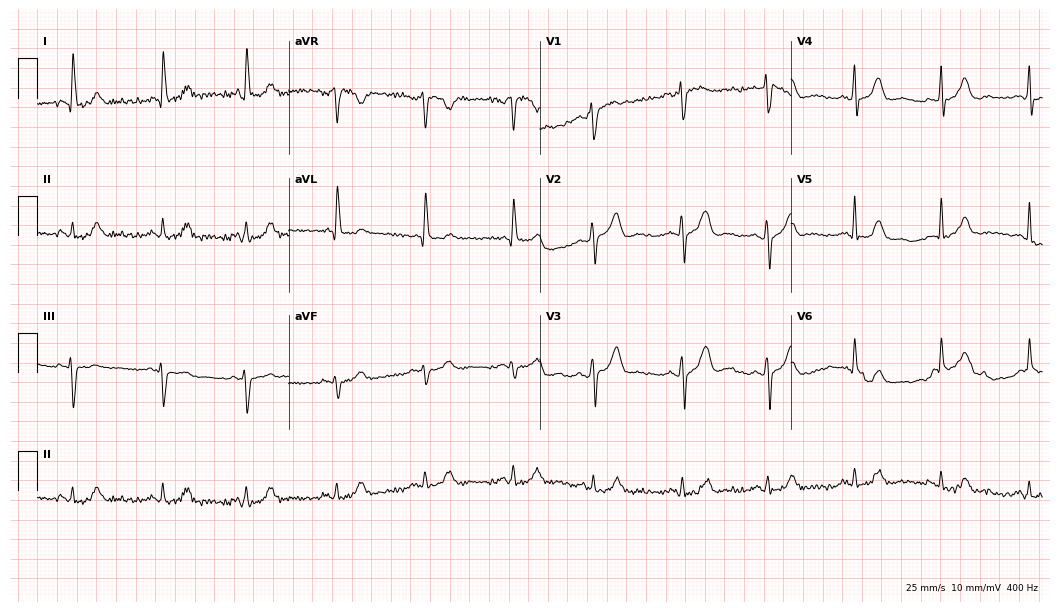
12-lead ECG from a 69-year-old male patient. Recorded interpretation: within normal limits.